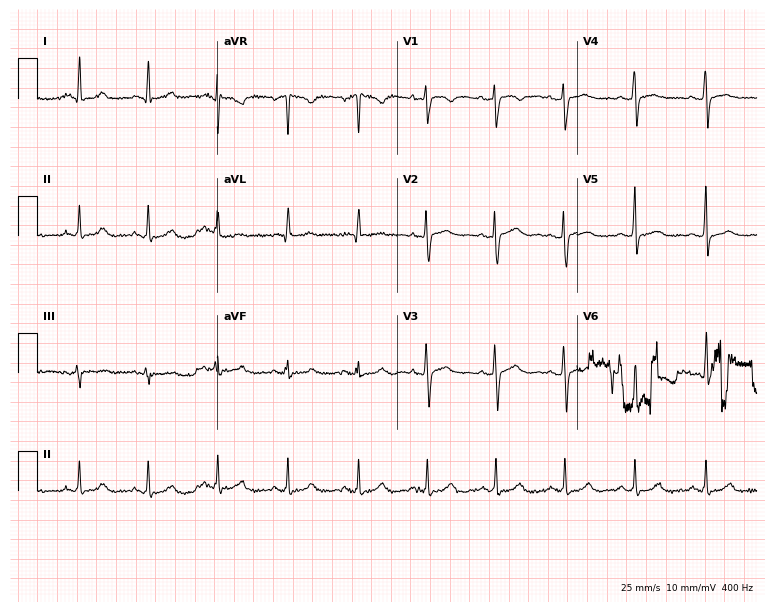
Standard 12-lead ECG recorded from a woman, 31 years old. None of these six findings is recorded: first-degree AV block, right bundle branch block (RBBB), left bundle branch block (LBBB), sinus bradycardia, atrial fibrillation (AF), sinus tachycardia. Only these six findings were labelled.